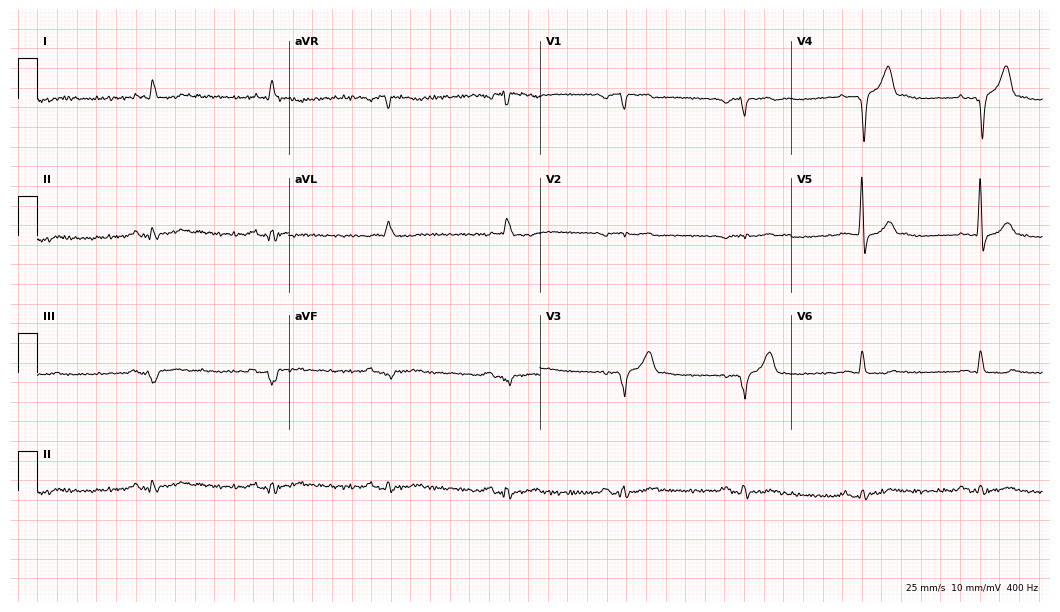
Standard 12-lead ECG recorded from a man, 82 years old. None of these six findings is recorded: first-degree AV block, right bundle branch block, left bundle branch block, sinus bradycardia, atrial fibrillation, sinus tachycardia.